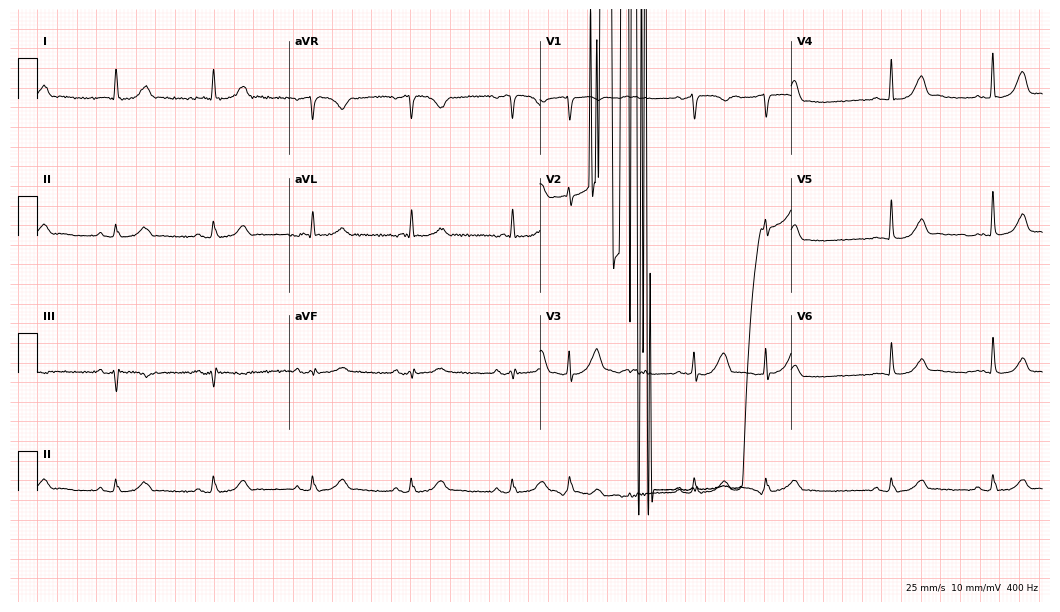
12-lead ECG from a female patient, 85 years old. No first-degree AV block, right bundle branch block, left bundle branch block, sinus bradycardia, atrial fibrillation or sinus tachycardia recorded for this tracing.